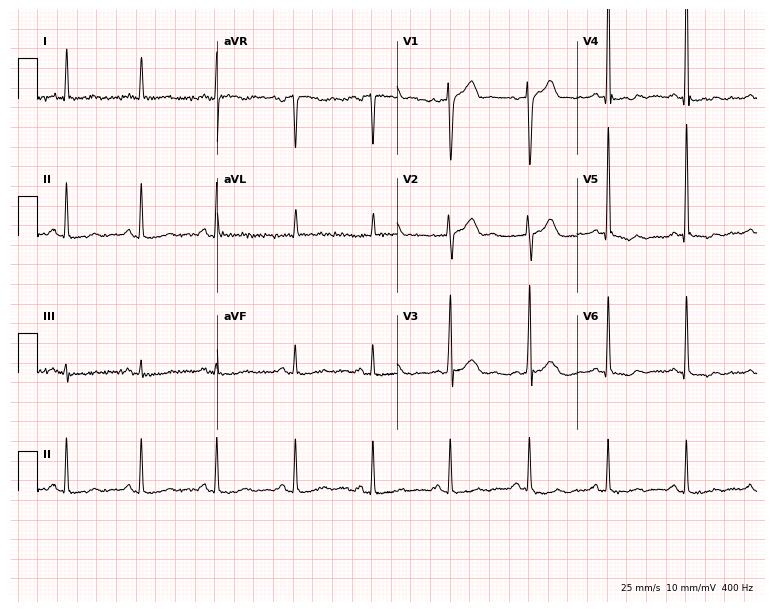
12-lead ECG from a male, 68 years old. Recorded interpretation: within normal limits.